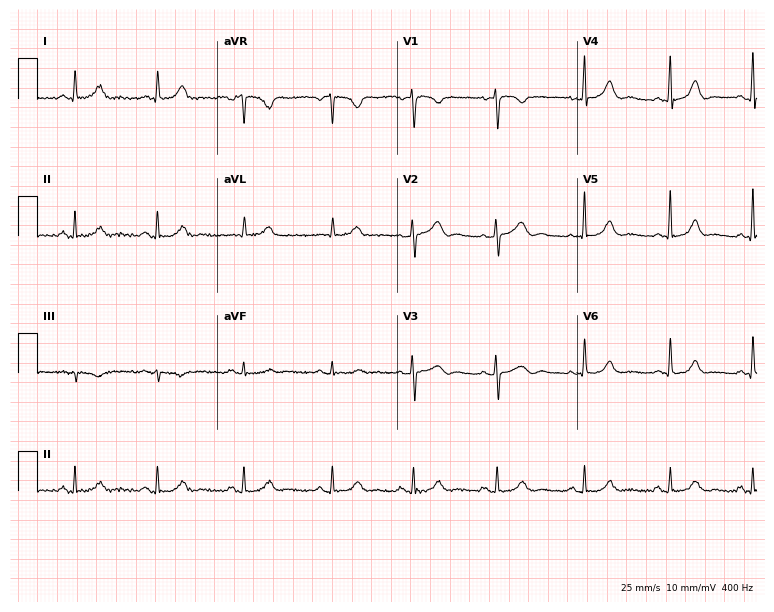
12-lead ECG from a 48-year-old female (7.3-second recording at 400 Hz). Recorded interpretation: within normal limits.